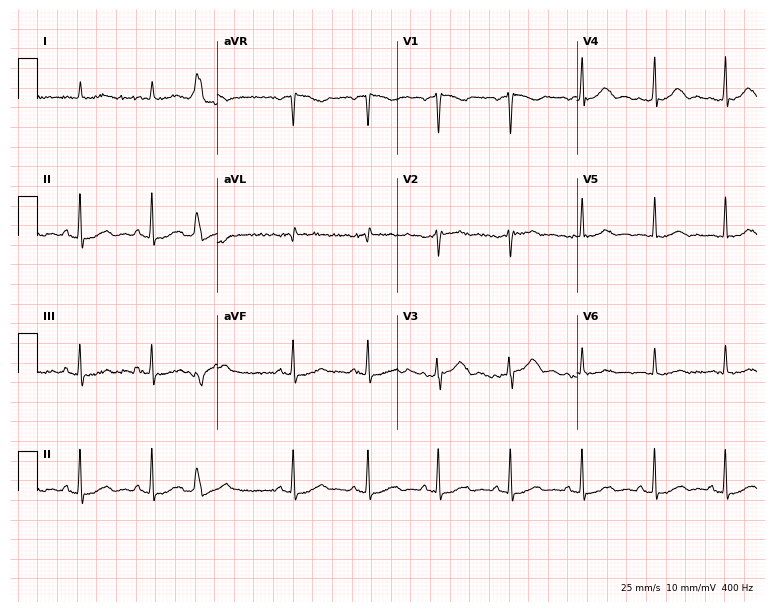
ECG — an 82-year-old man. Labelled as a normal ECG.